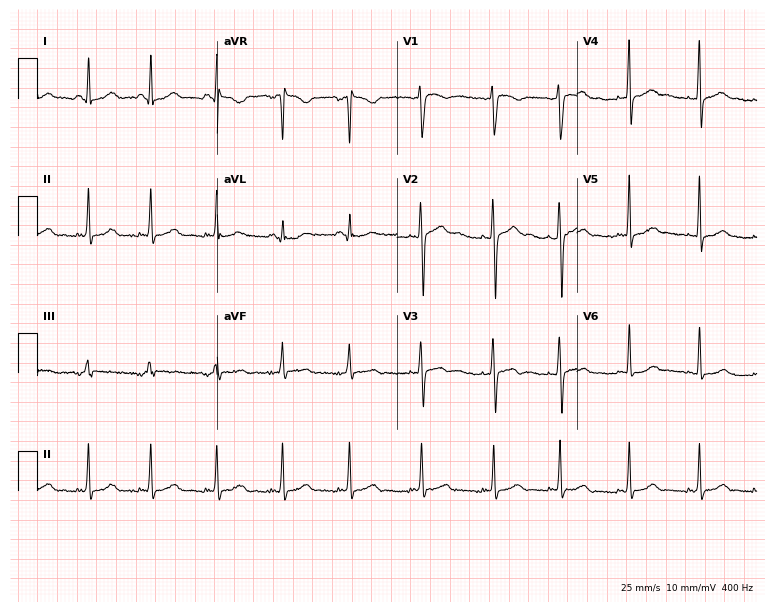
12-lead ECG from a woman, 19 years old (7.3-second recording at 400 Hz). No first-degree AV block, right bundle branch block, left bundle branch block, sinus bradycardia, atrial fibrillation or sinus tachycardia recorded for this tracing. Findings outside these six are not listed.